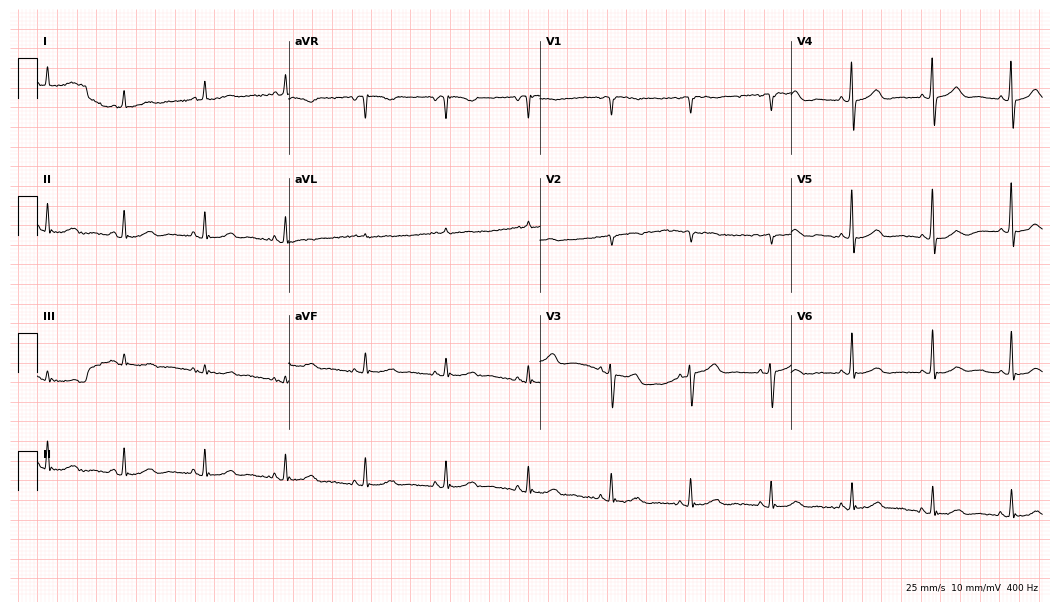
ECG — a woman, 68 years old. Labelled as a normal ECG.